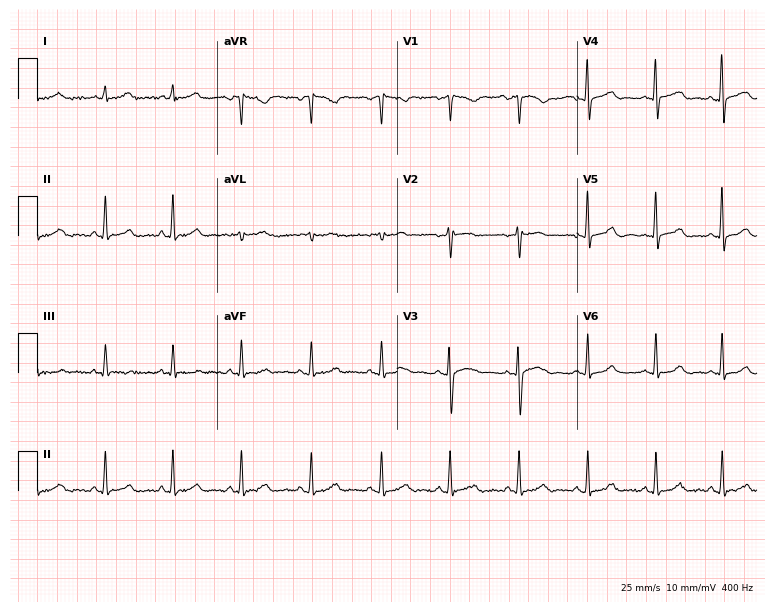
Electrocardiogram (7.3-second recording at 400 Hz), a 42-year-old female patient. Overall reading on record: normal ECG.